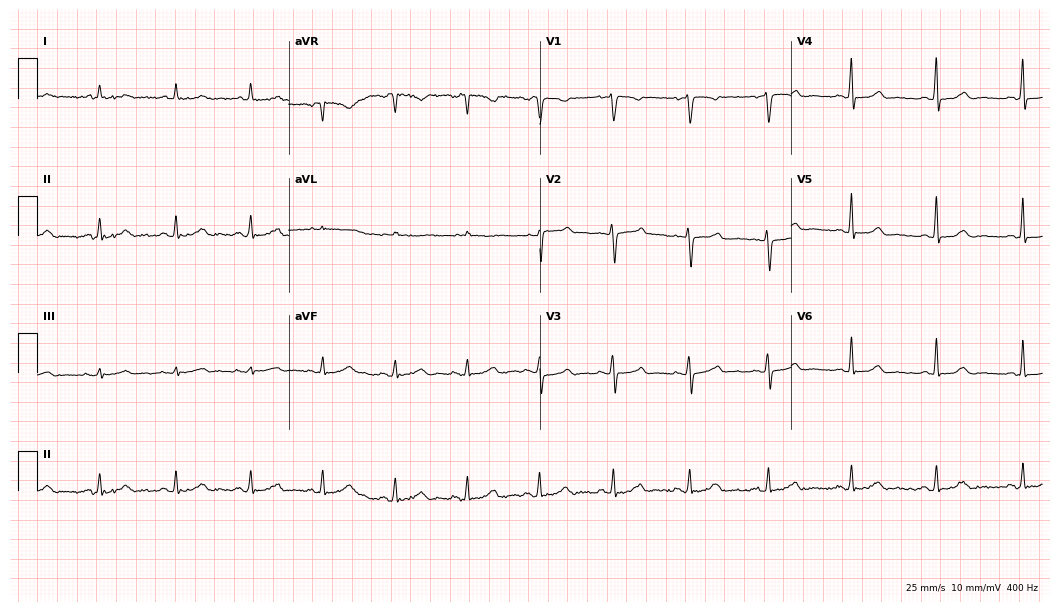
Electrocardiogram, a 44-year-old female. Overall reading on record: normal ECG.